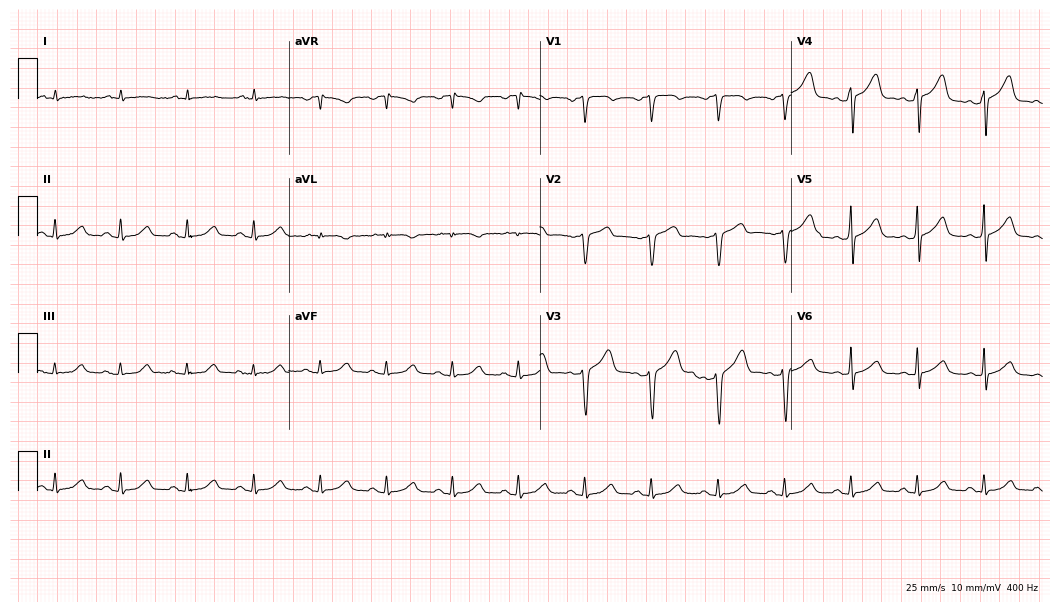
12-lead ECG from a 46-year-old male. Labelled as a normal ECG.